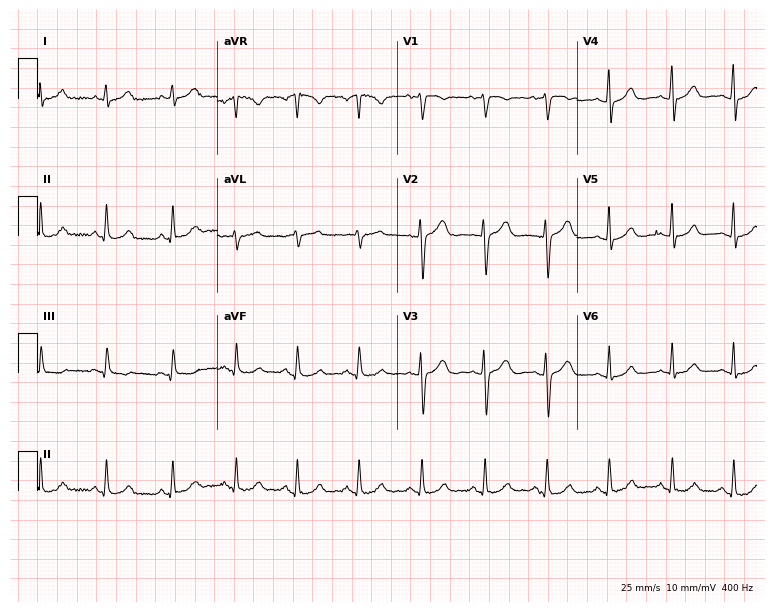
Resting 12-lead electrocardiogram. Patient: a 27-year-old woman. Read as a normal ECG.